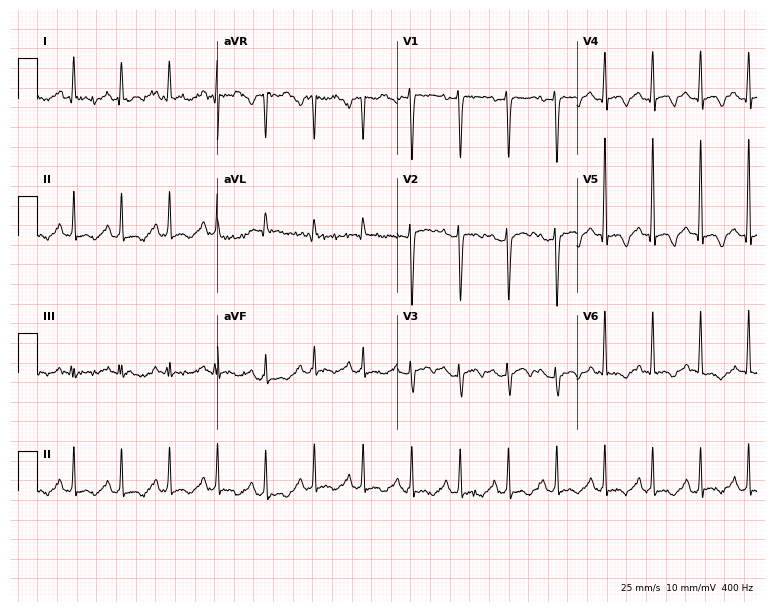
Standard 12-lead ECG recorded from a female, 37 years old. None of these six findings is recorded: first-degree AV block, right bundle branch block, left bundle branch block, sinus bradycardia, atrial fibrillation, sinus tachycardia. Other findings, if any, are not listed.